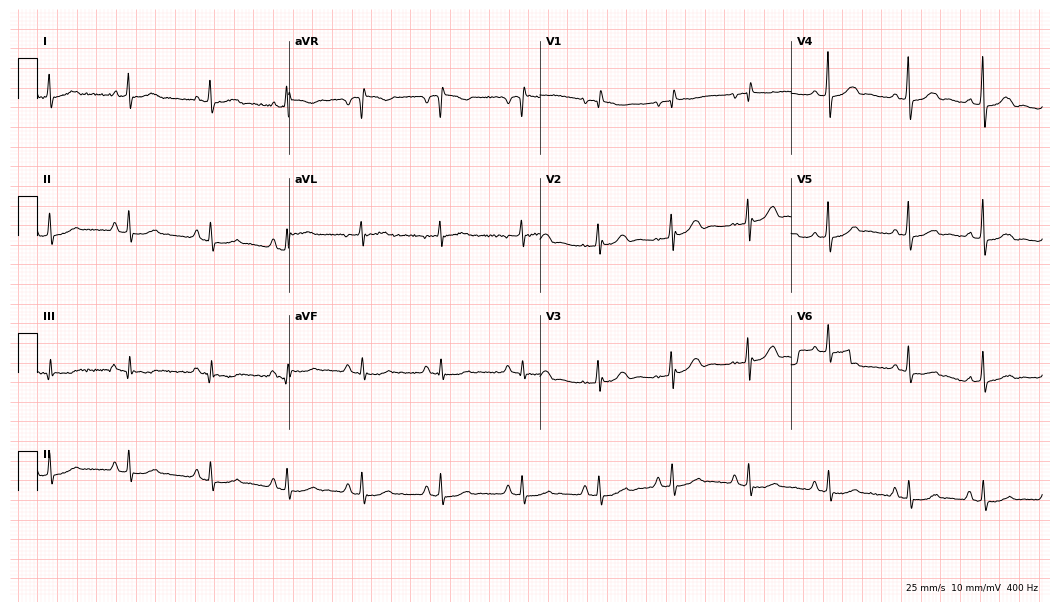
Electrocardiogram, a 70-year-old woman. Overall reading on record: normal ECG.